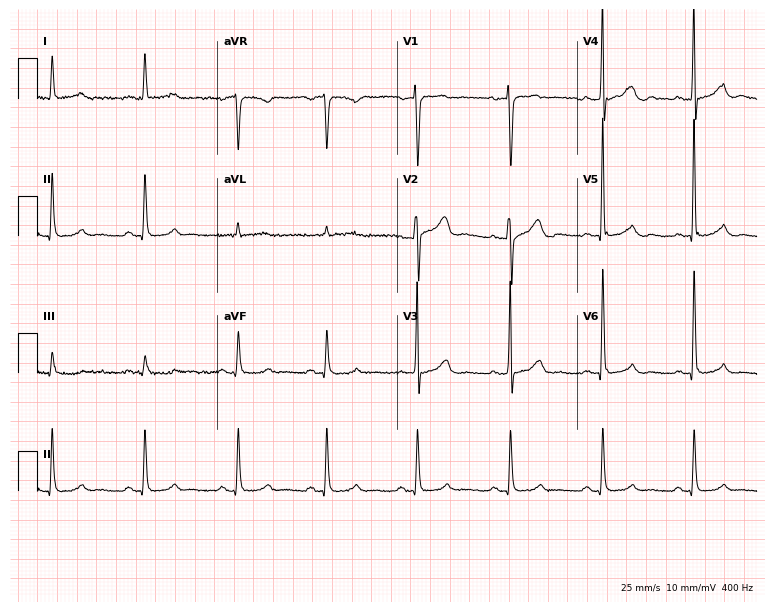
Standard 12-lead ECG recorded from a male patient, 41 years old (7.3-second recording at 400 Hz). None of these six findings is recorded: first-degree AV block, right bundle branch block, left bundle branch block, sinus bradycardia, atrial fibrillation, sinus tachycardia.